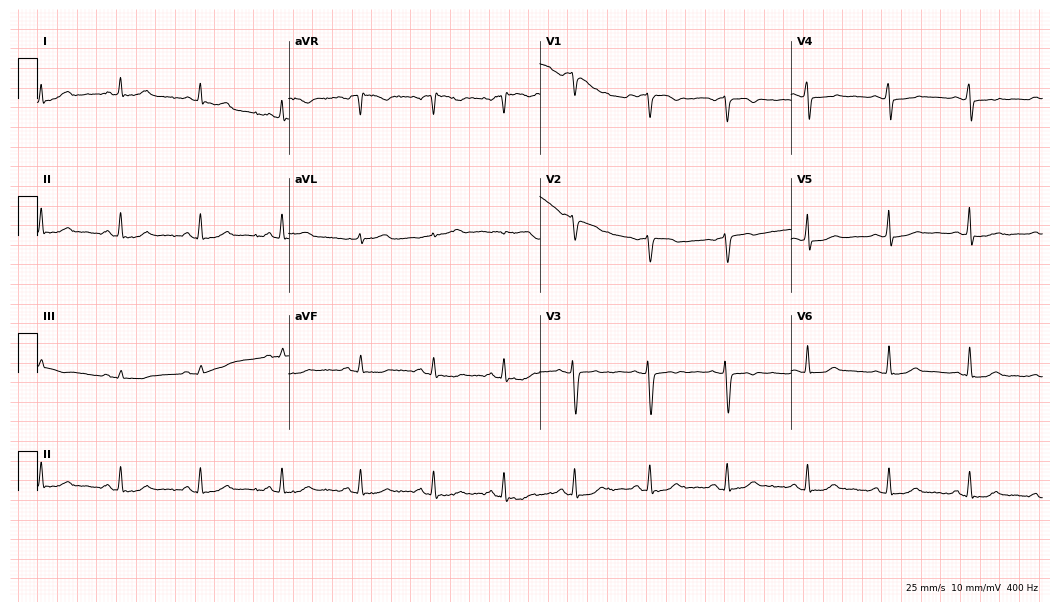
12-lead ECG (10.2-second recording at 400 Hz) from a female, 50 years old. Screened for six findings — first-degree AV block, right bundle branch block, left bundle branch block, sinus bradycardia, atrial fibrillation, sinus tachycardia — none is recorded. Findings outside these six are not listed.